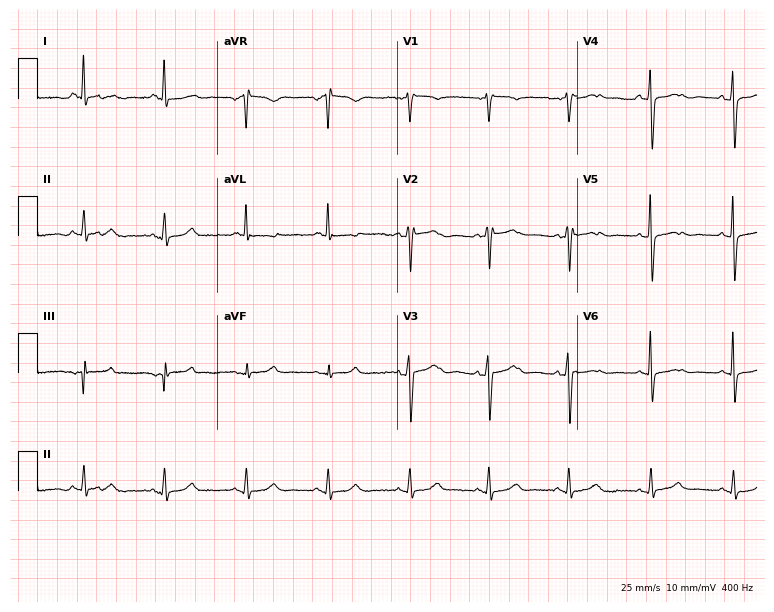
Electrocardiogram (7.3-second recording at 400 Hz), a 72-year-old female patient. Of the six screened findings (first-degree AV block, right bundle branch block, left bundle branch block, sinus bradycardia, atrial fibrillation, sinus tachycardia), none is recorded. Other findings, if any, are not listed.